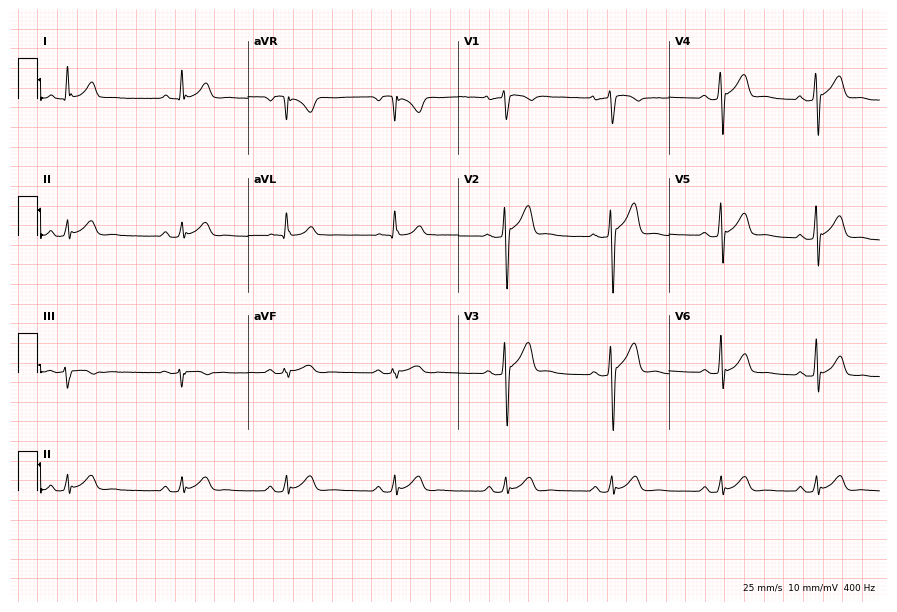
Resting 12-lead electrocardiogram. Patient: a 44-year-old man. Read as a normal ECG.